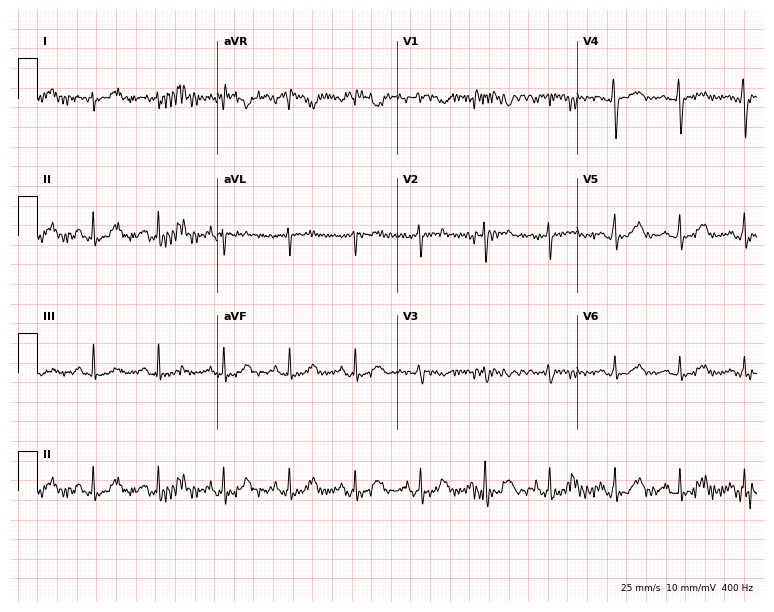
ECG — a female patient, 51 years old. Screened for six findings — first-degree AV block, right bundle branch block, left bundle branch block, sinus bradycardia, atrial fibrillation, sinus tachycardia — none is recorded. Findings outside these six are not listed.